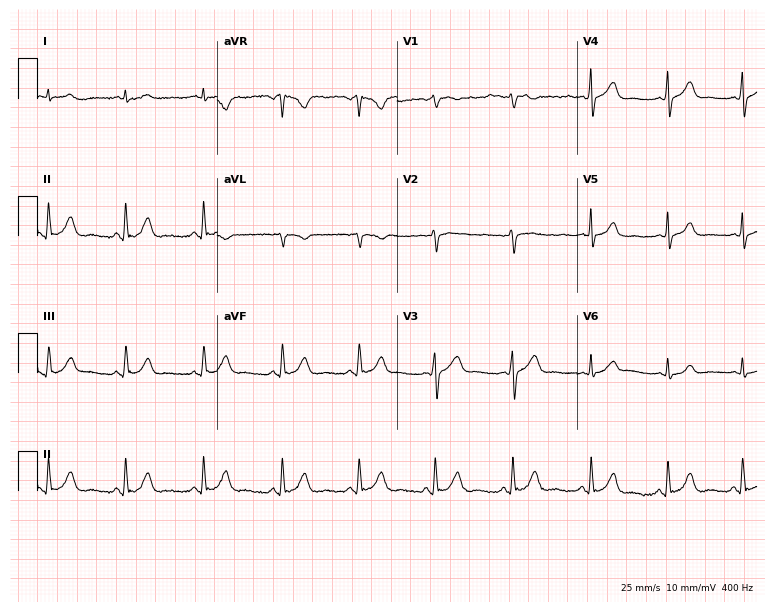
ECG — a 58-year-old male patient. Screened for six findings — first-degree AV block, right bundle branch block, left bundle branch block, sinus bradycardia, atrial fibrillation, sinus tachycardia — none is recorded.